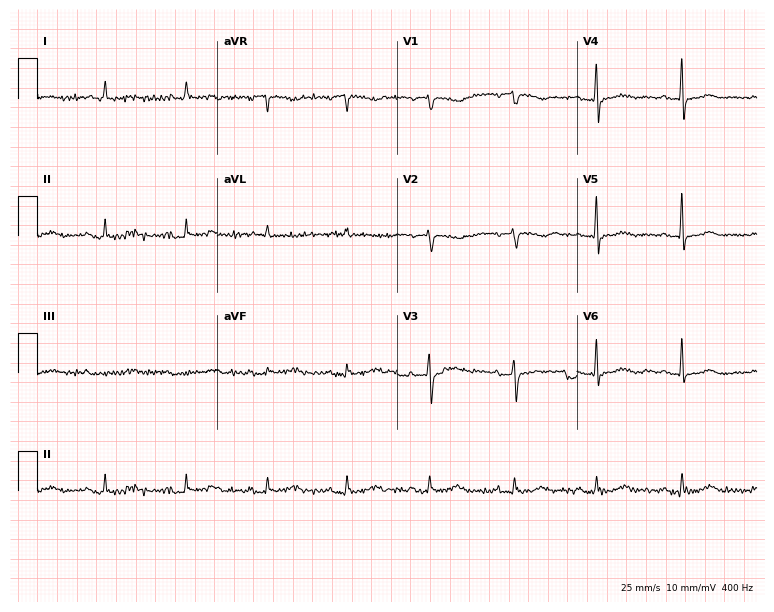
Resting 12-lead electrocardiogram (7.3-second recording at 400 Hz). Patient: a 70-year-old woman. None of these six findings is recorded: first-degree AV block, right bundle branch block, left bundle branch block, sinus bradycardia, atrial fibrillation, sinus tachycardia.